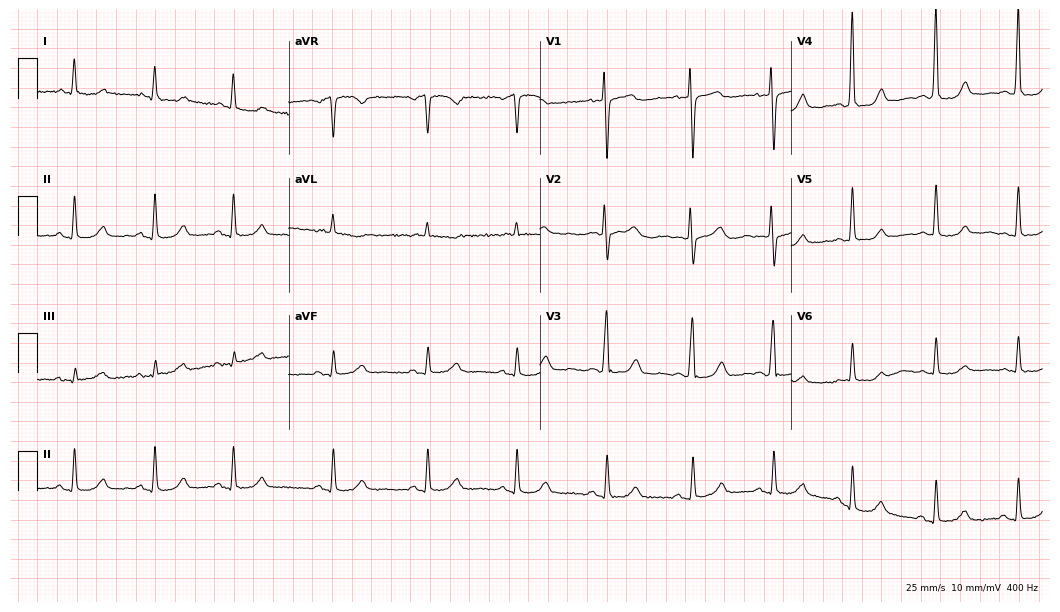
Standard 12-lead ECG recorded from a 63-year-old female patient (10.2-second recording at 400 Hz). None of these six findings is recorded: first-degree AV block, right bundle branch block, left bundle branch block, sinus bradycardia, atrial fibrillation, sinus tachycardia.